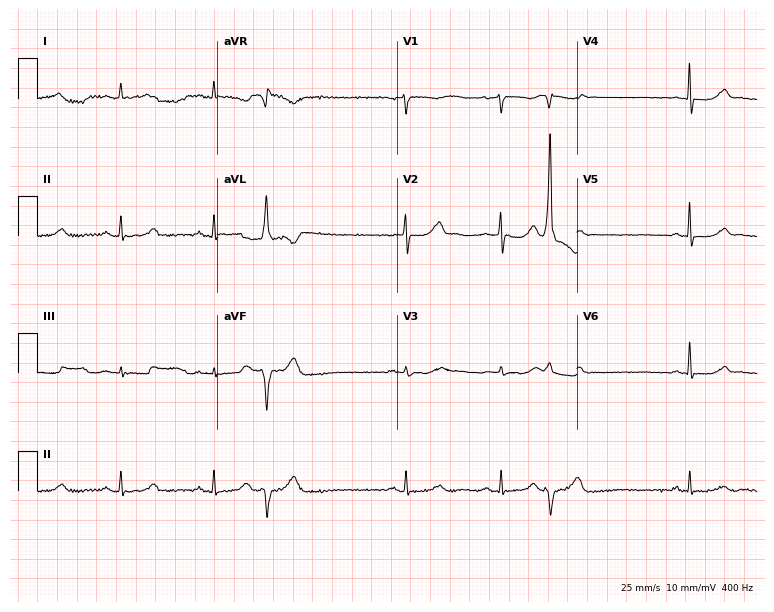
12-lead ECG from a 44-year-old female patient. Screened for six findings — first-degree AV block, right bundle branch block (RBBB), left bundle branch block (LBBB), sinus bradycardia, atrial fibrillation (AF), sinus tachycardia — none is recorded.